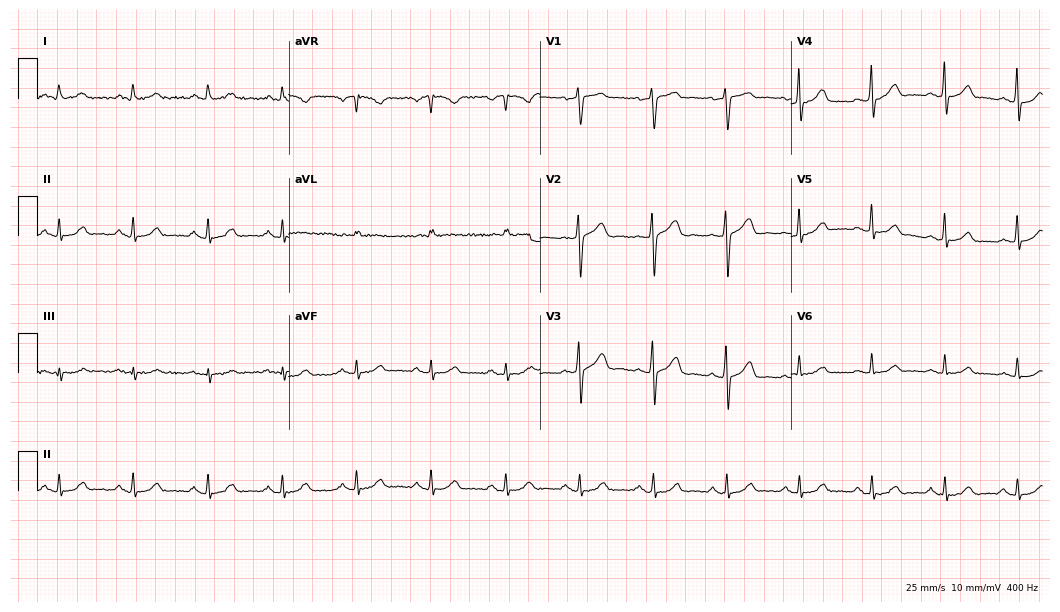
Electrocardiogram (10.2-second recording at 400 Hz), a man, 85 years old. Overall reading on record: normal ECG.